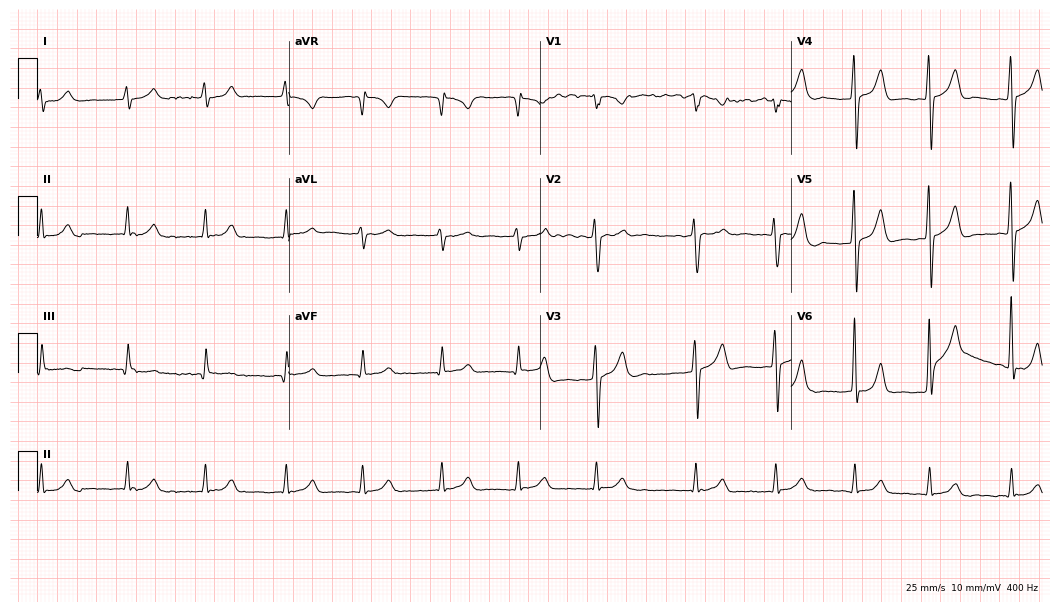
12-lead ECG from a 54-year-old man. Findings include atrial fibrillation (AF).